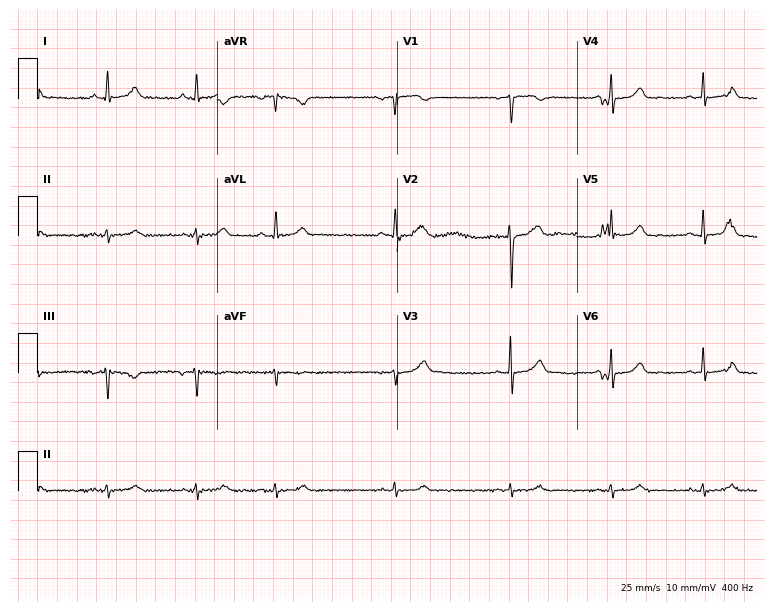
12-lead ECG from a 29-year-old woman. Labelled as a normal ECG.